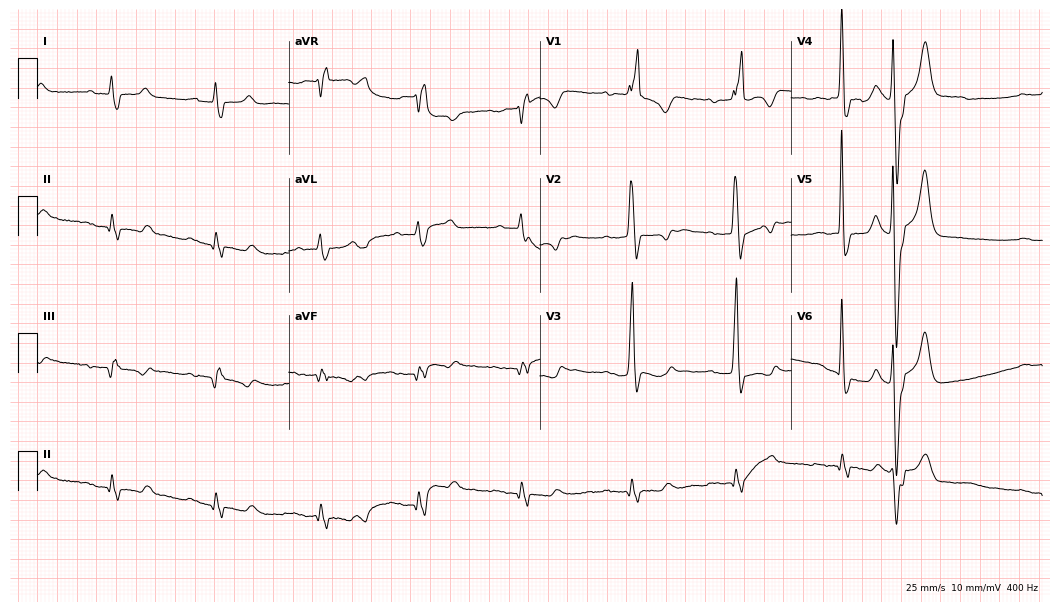
Standard 12-lead ECG recorded from an 83-year-old female (10.2-second recording at 400 Hz). The tracing shows first-degree AV block, right bundle branch block.